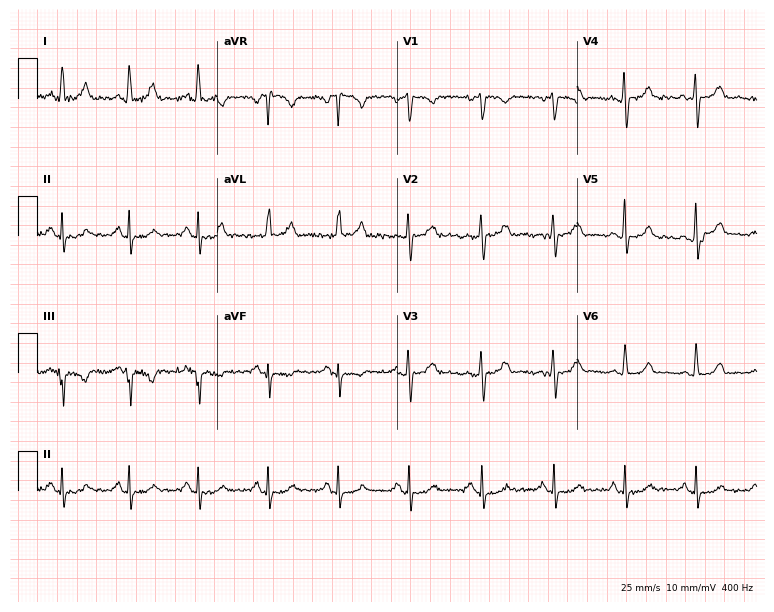
Standard 12-lead ECG recorded from a 42-year-old female patient. Read as a normal ECG.